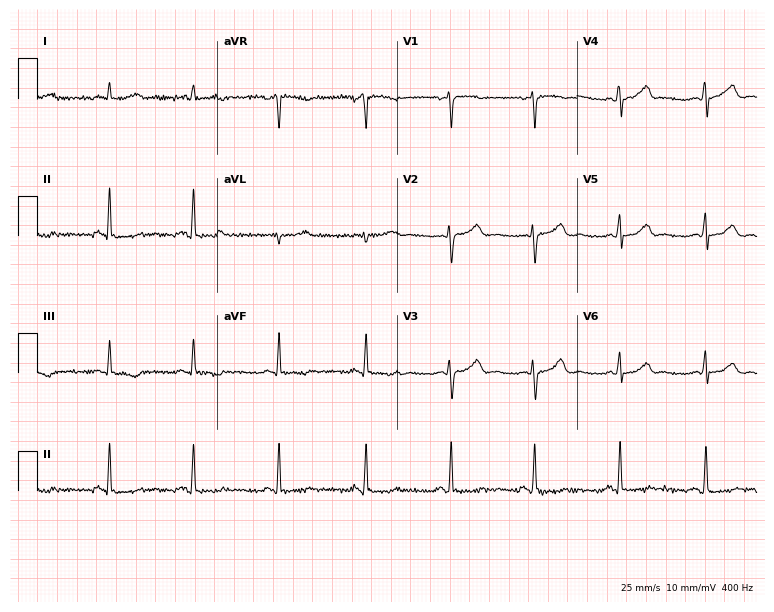
12-lead ECG from a female, 53 years old. Labelled as a normal ECG.